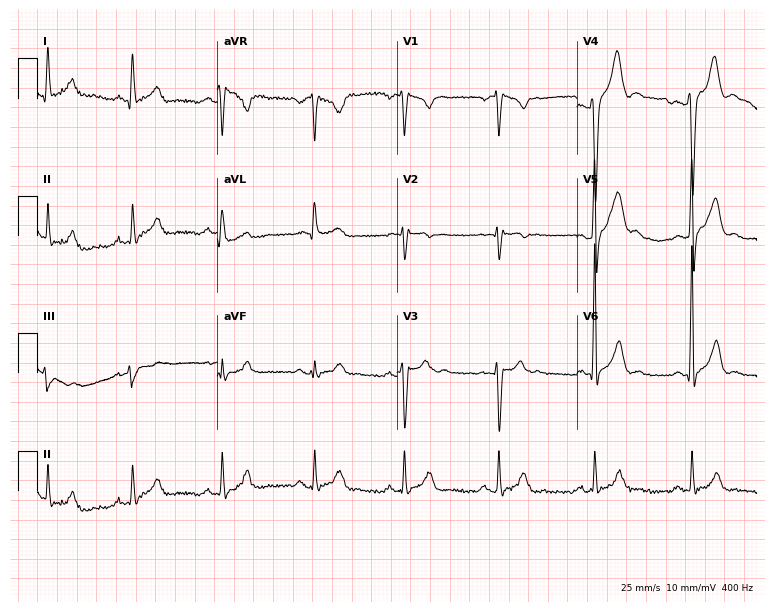
ECG — a male patient, 25 years old. Labelled as a normal ECG.